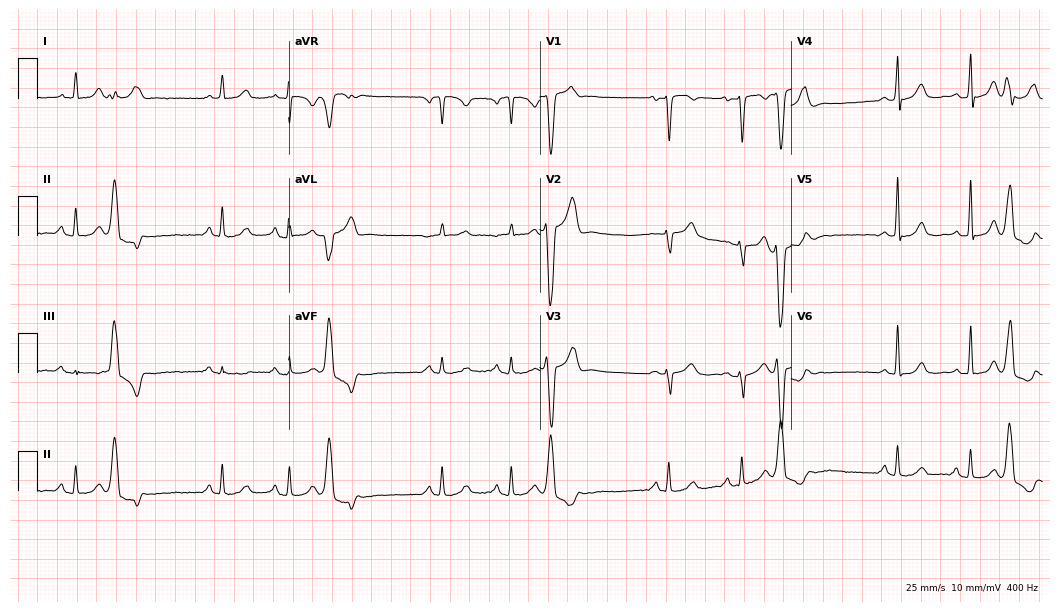
12-lead ECG (10.2-second recording at 400 Hz) from a 50-year-old woman. Screened for six findings — first-degree AV block, right bundle branch block (RBBB), left bundle branch block (LBBB), sinus bradycardia, atrial fibrillation (AF), sinus tachycardia — none is recorded. Other findings, if any, are not listed.